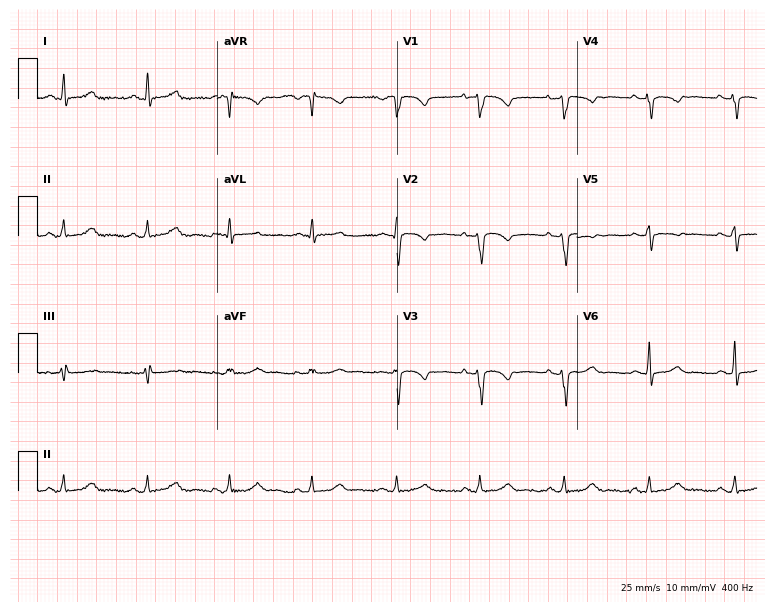
12-lead ECG from a female patient, 41 years old (7.3-second recording at 400 Hz). No first-degree AV block, right bundle branch block, left bundle branch block, sinus bradycardia, atrial fibrillation or sinus tachycardia recorded for this tracing.